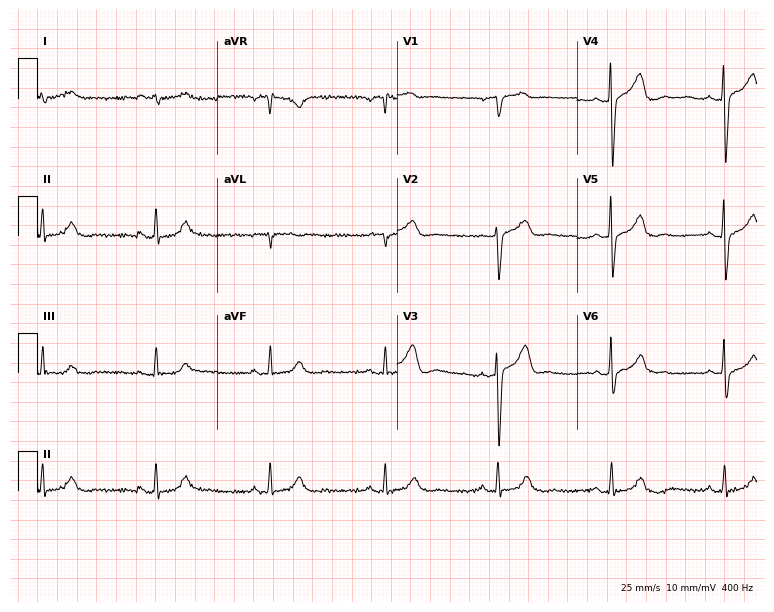
12-lead ECG from a 72-year-old man (7.3-second recording at 400 Hz). Recorded interpretation: within normal limits.